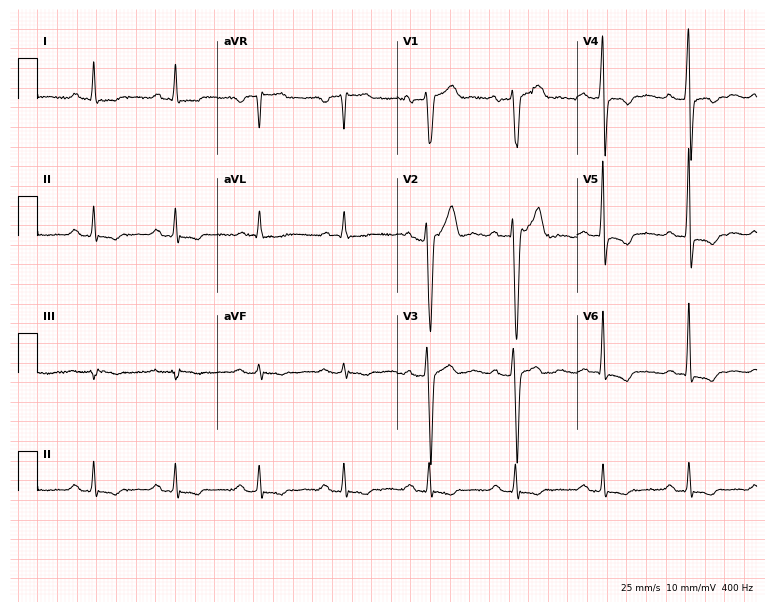
12-lead ECG from a male patient, 44 years old. Shows first-degree AV block.